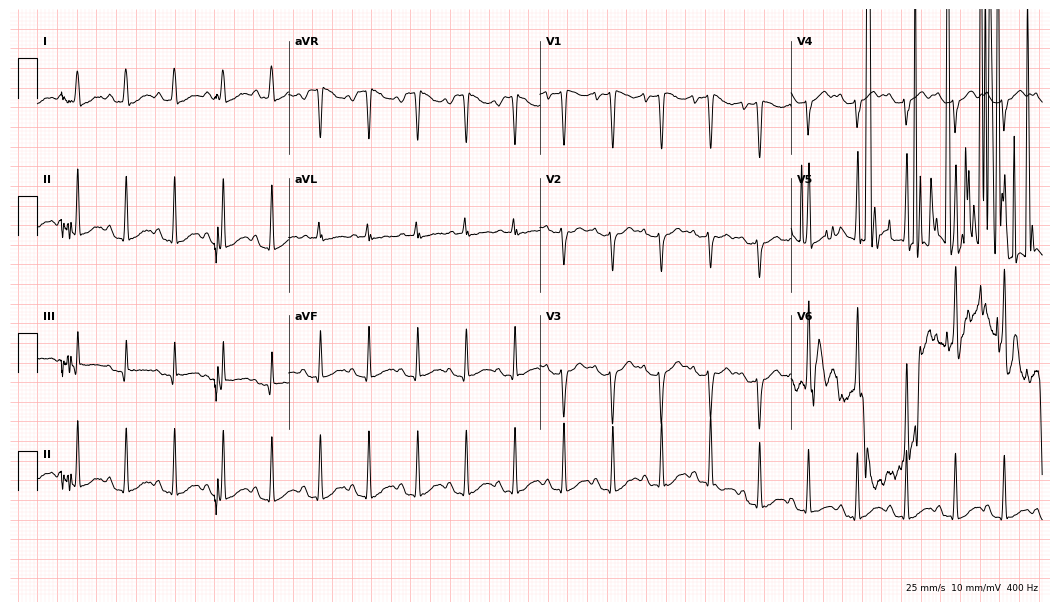
Resting 12-lead electrocardiogram (10.2-second recording at 400 Hz). Patient: a woman, 24 years old. The tracing shows sinus tachycardia (a sinus rate of 100 beats per minute or more).